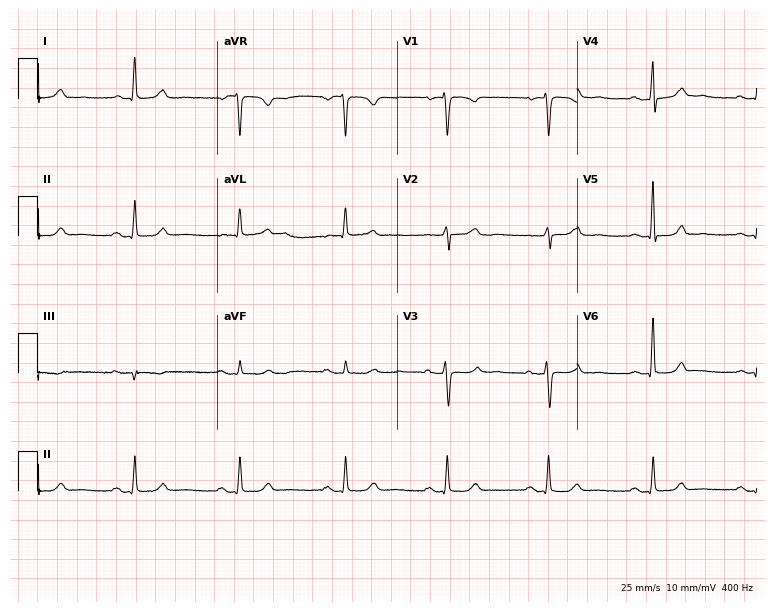
12-lead ECG from a 50-year-old female. Labelled as a normal ECG.